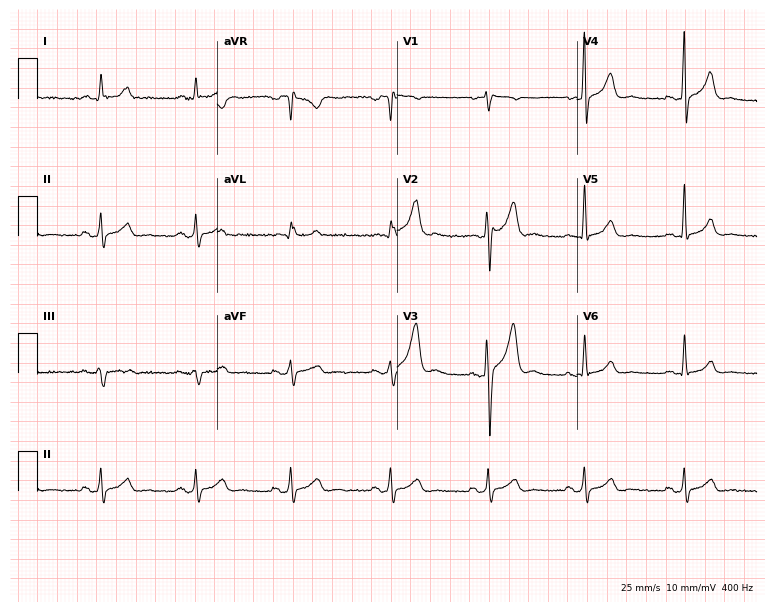
ECG (7.3-second recording at 400 Hz) — a man, 34 years old. Screened for six findings — first-degree AV block, right bundle branch block (RBBB), left bundle branch block (LBBB), sinus bradycardia, atrial fibrillation (AF), sinus tachycardia — none is recorded.